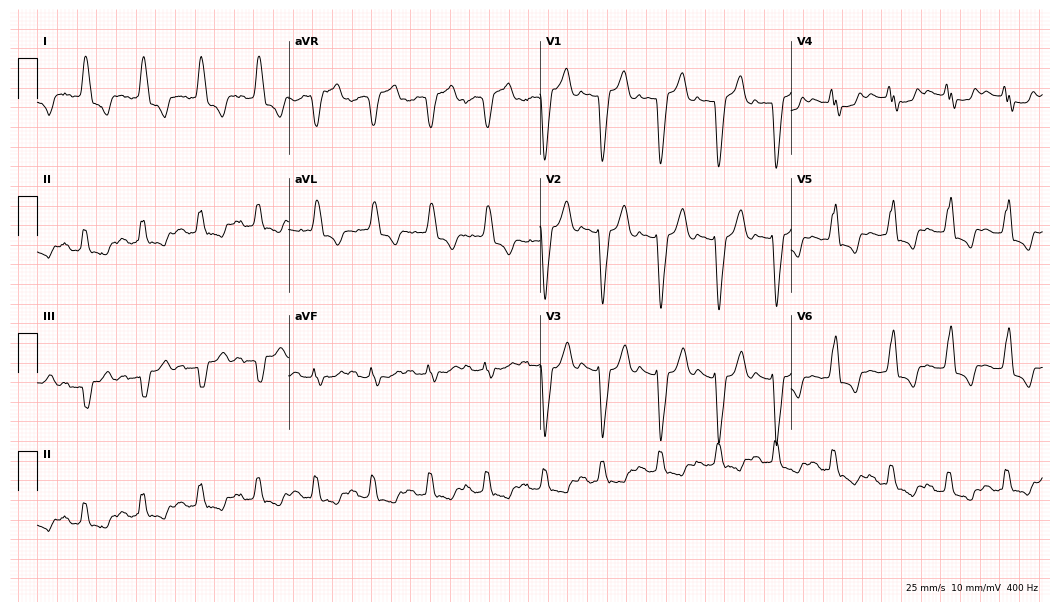
Electrocardiogram, a female, 83 years old. Interpretation includes left bundle branch block.